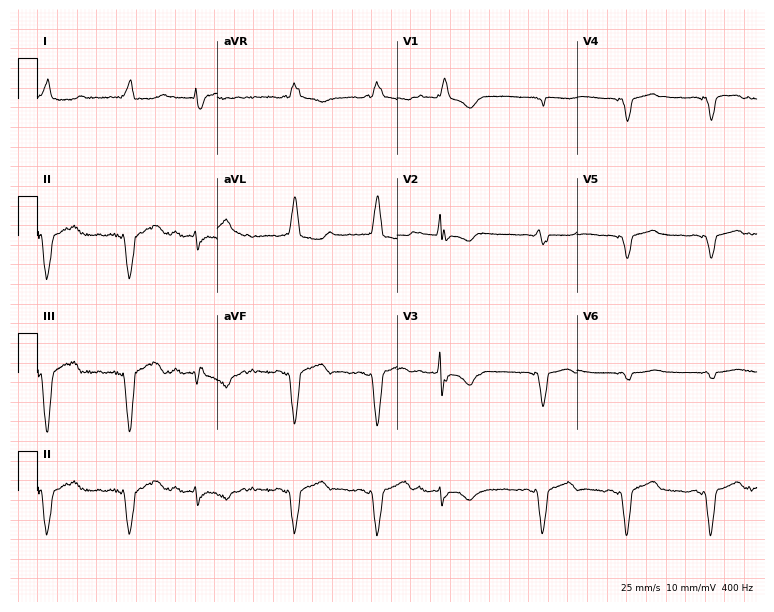
Standard 12-lead ECG recorded from an 81-year-old female (7.3-second recording at 400 Hz). None of these six findings is recorded: first-degree AV block, right bundle branch block, left bundle branch block, sinus bradycardia, atrial fibrillation, sinus tachycardia.